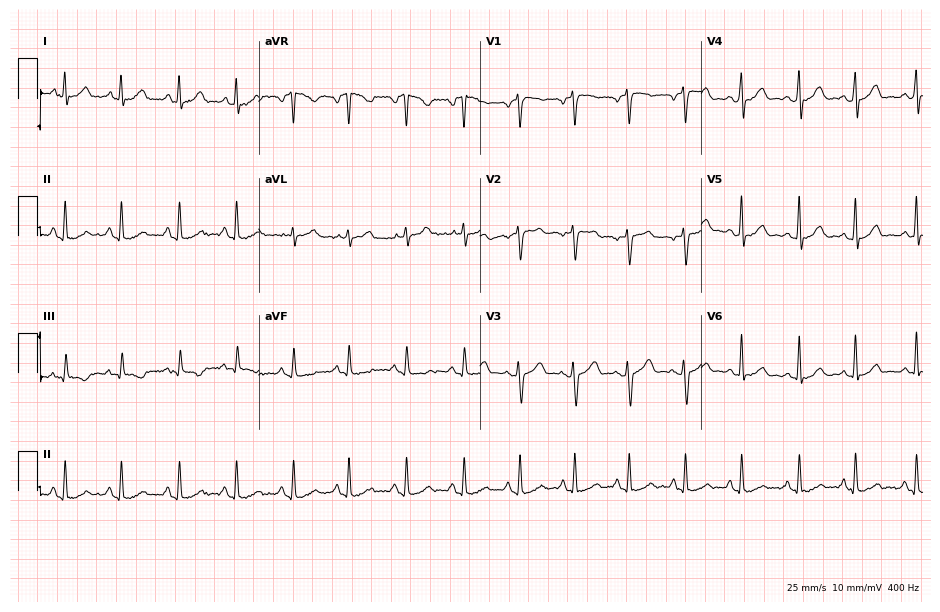
12-lead ECG from a female patient, 34 years old. Screened for six findings — first-degree AV block, right bundle branch block, left bundle branch block, sinus bradycardia, atrial fibrillation, sinus tachycardia — none is recorded.